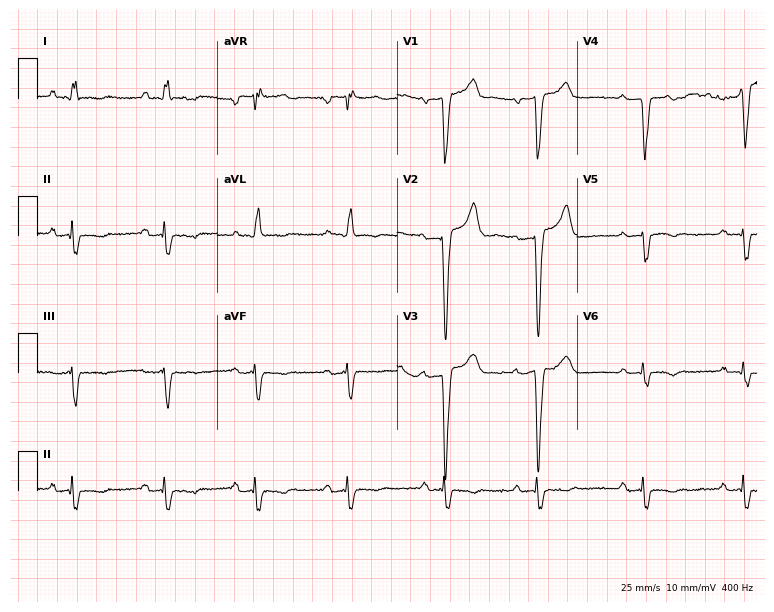
ECG — a 73-year-old male. Screened for six findings — first-degree AV block, right bundle branch block, left bundle branch block, sinus bradycardia, atrial fibrillation, sinus tachycardia — none is recorded. Findings outside these six are not listed.